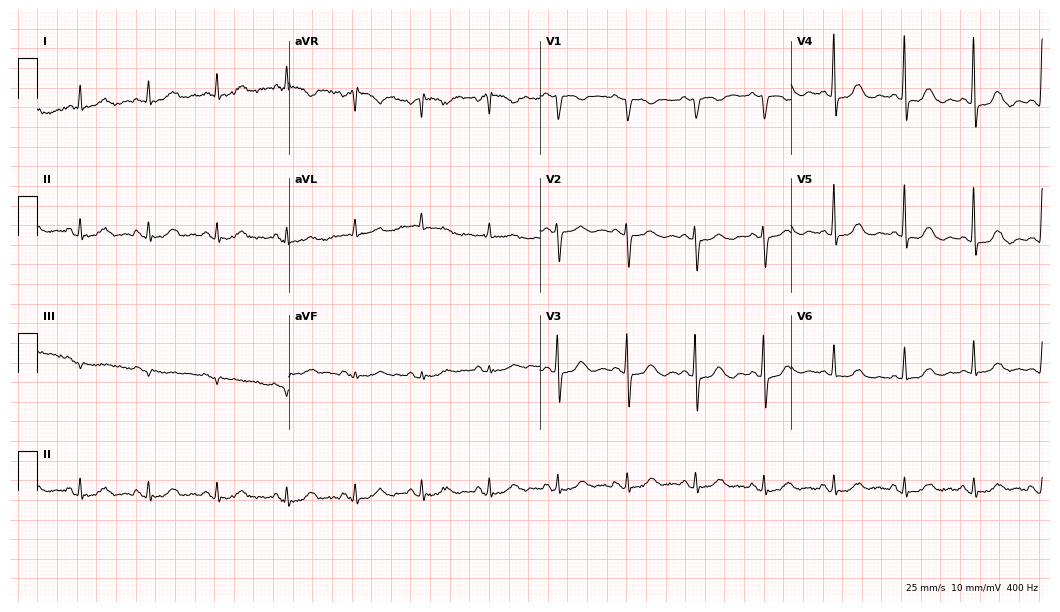
12-lead ECG from a woman, 74 years old (10.2-second recording at 400 Hz). No first-degree AV block, right bundle branch block, left bundle branch block, sinus bradycardia, atrial fibrillation or sinus tachycardia recorded for this tracing. Findings outside these six are not listed.